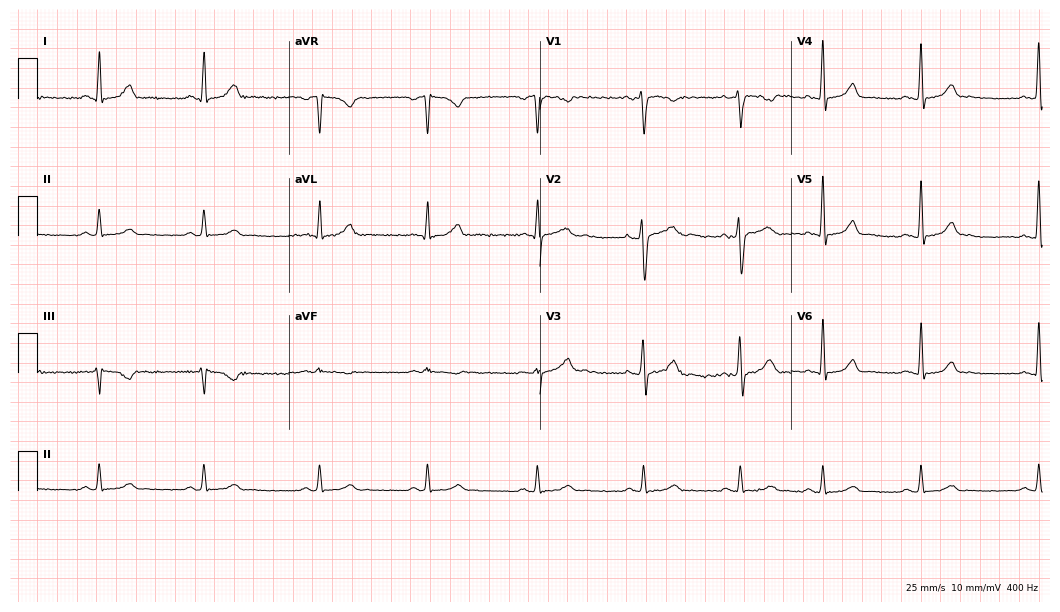
12-lead ECG from a female, 33 years old (10.2-second recording at 400 Hz). Recorded interpretation: within normal limits.